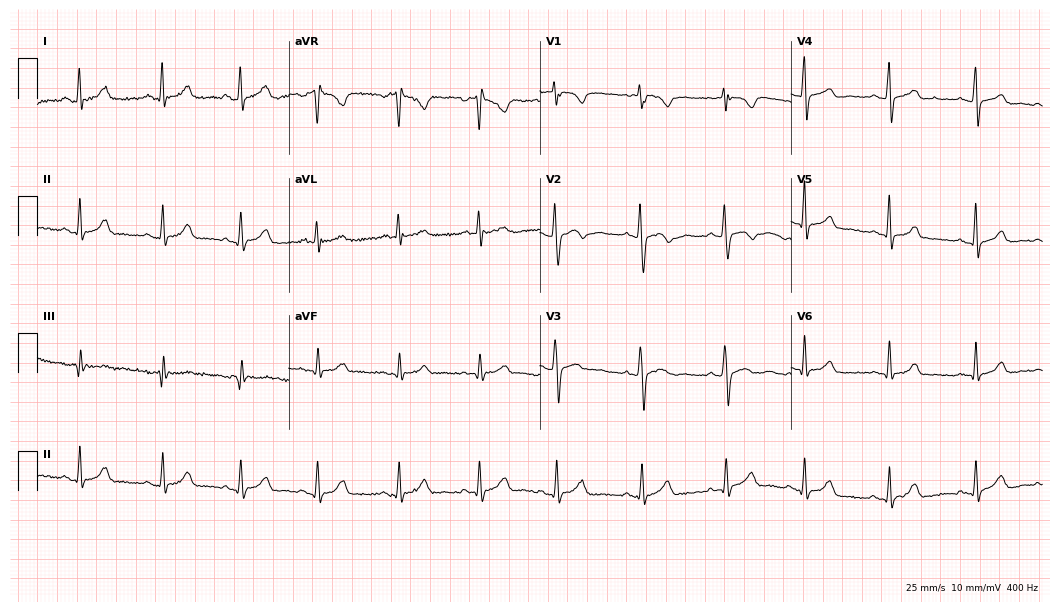
12-lead ECG from a female patient, 22 years old. Recorded interpretation: within normal limits.